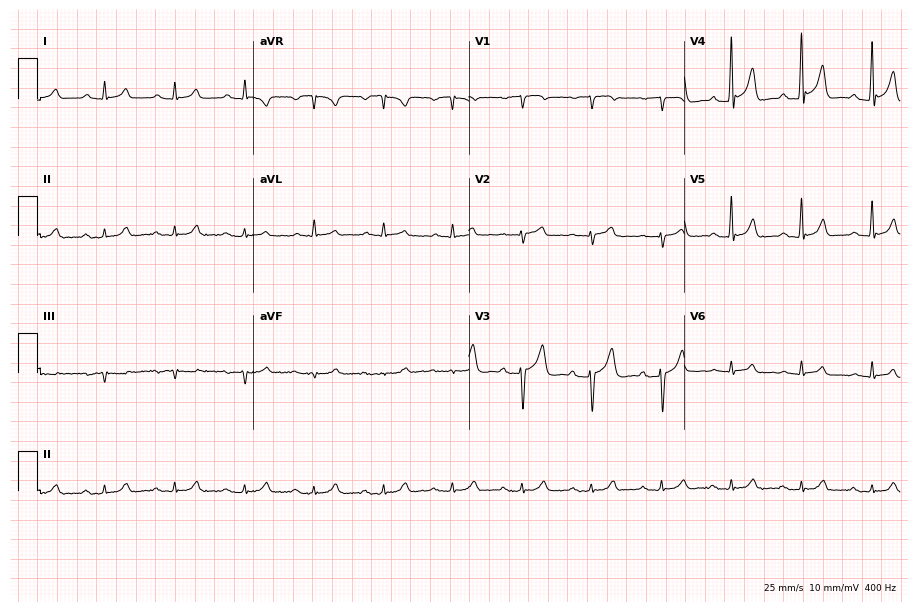
12-lead ECG from a male patient, 71 years old. No first-degree AV block, right bundle branch block (RBBB), left bundle branch block (LBBB), sinus bradycardia, atrial fibrillation (AF) or sinus tachycardia recorded for this tracing.